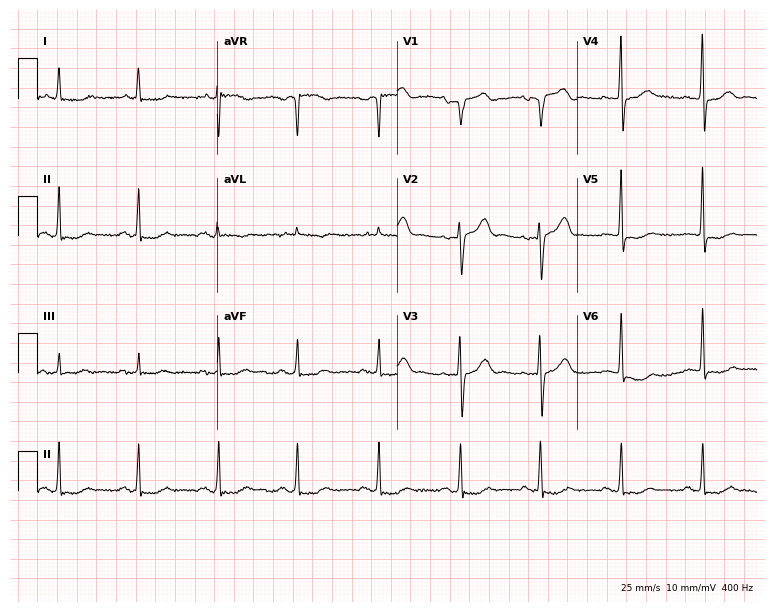
Standard 12-lead ECG recorded from a male patient, 78 years old. None of these six findings is recorded: first-degree AV block, right bundle branch block, left bundle branch block, sinus bradycardia, atrial fibrillation, sinus tachycardia.